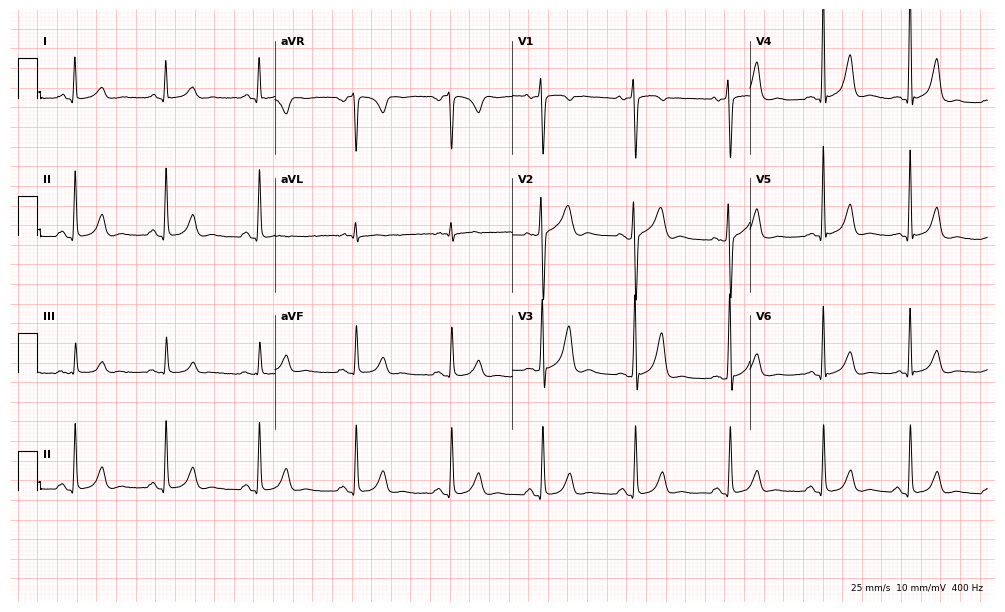
12-lead ECG from a 31-year-old female. Labelled as a normal ECG.